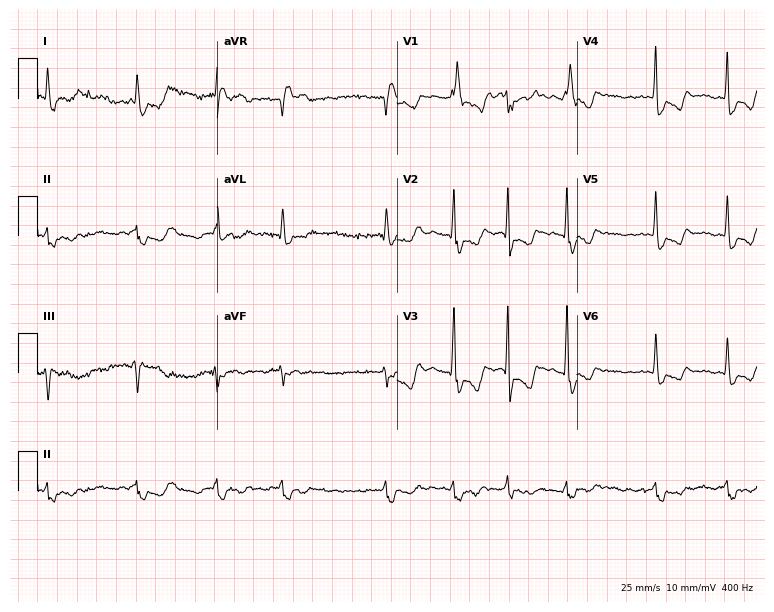
ECG — a woman, 73 years old. Screened for six findings — first-degree AV block, right bundle branch block, left bundle branch block, sinus bradycardia, atrial fibrillation, sinus tachycardia — none is recorded. Findings outside these six are not listed.